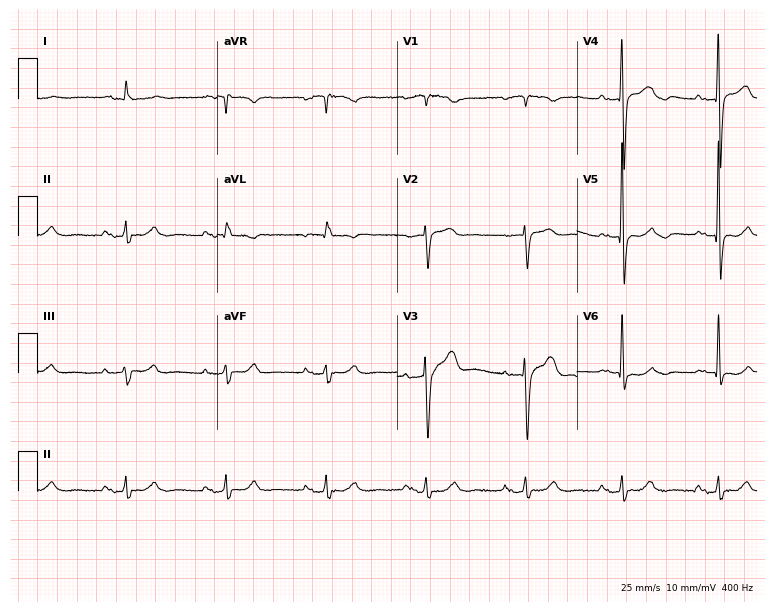
Electrocardiogram, an 83-year-old male patient. Interpretation includes first-degree AV block.